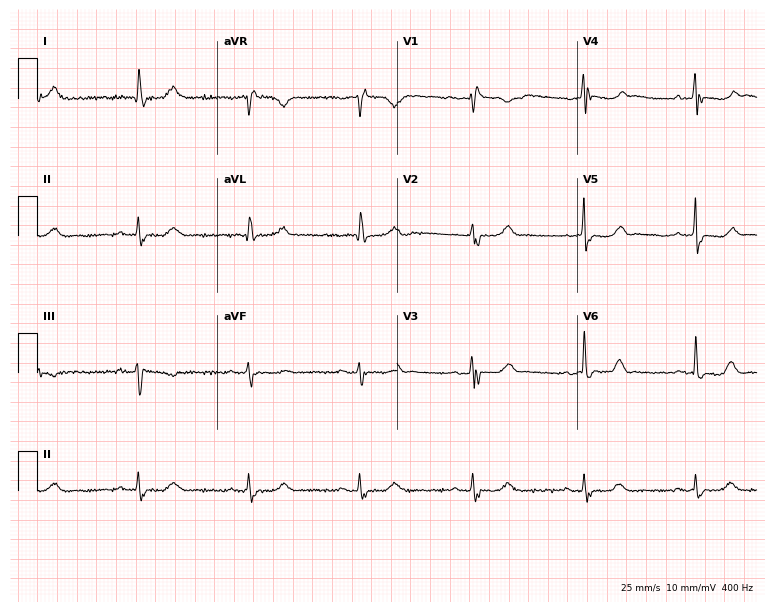
12-lead ECG from a female, 70 years old. Shows right bundle branch block.